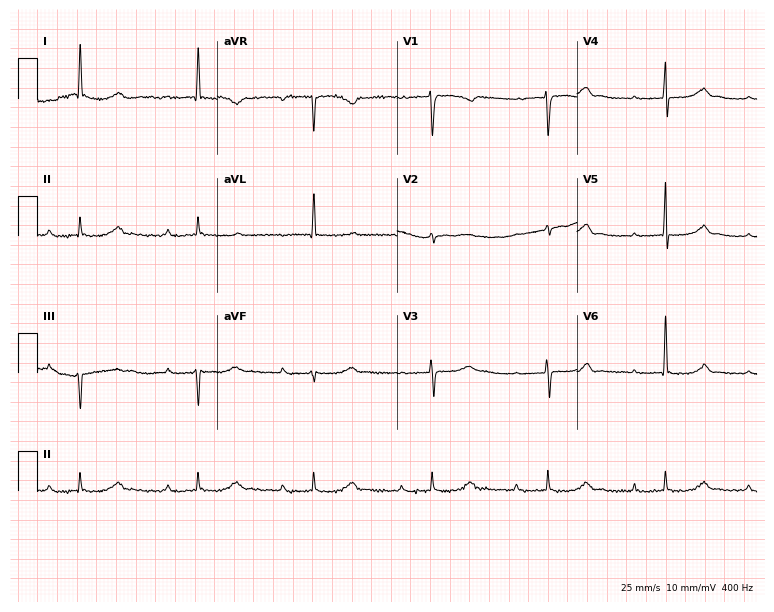
ECG (7.3-second recording at 400 Hz) — a female patient, 80 years old. Findings include first-degree AV block, sinus bradycardia (a sinus rate of 50 beats per minute or less).